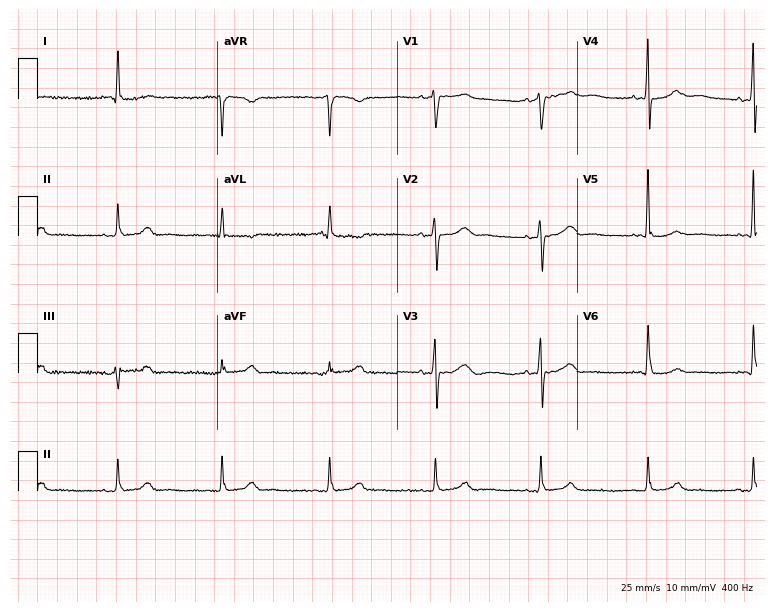
12-lead ECG from a 71-year-old female patient (7.3-second recording at 400 Hz). No first-degree AV block, right bundle branch block, left bundle branch block, sinus bradycardia, atrial fibrillation or sinus tachycardia recorded for this tracing.